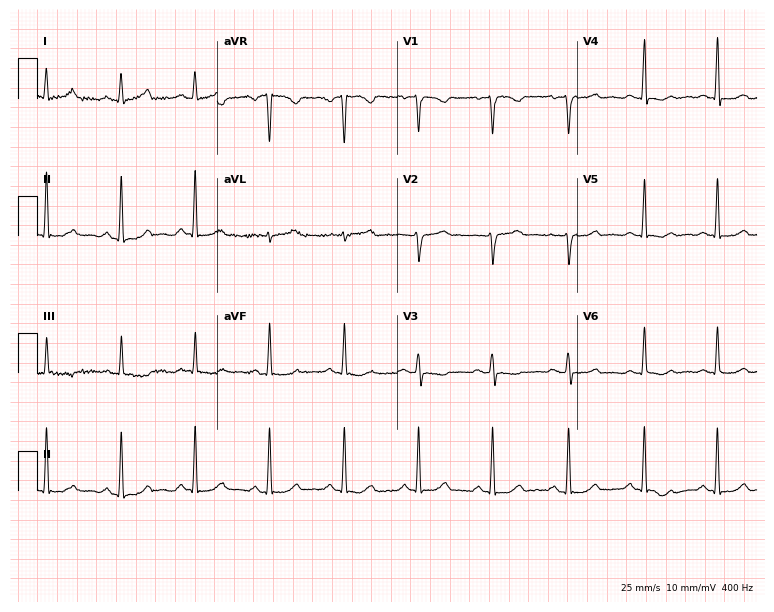
ECG — a 36-year-old woman. Labelled as a normal ECG.